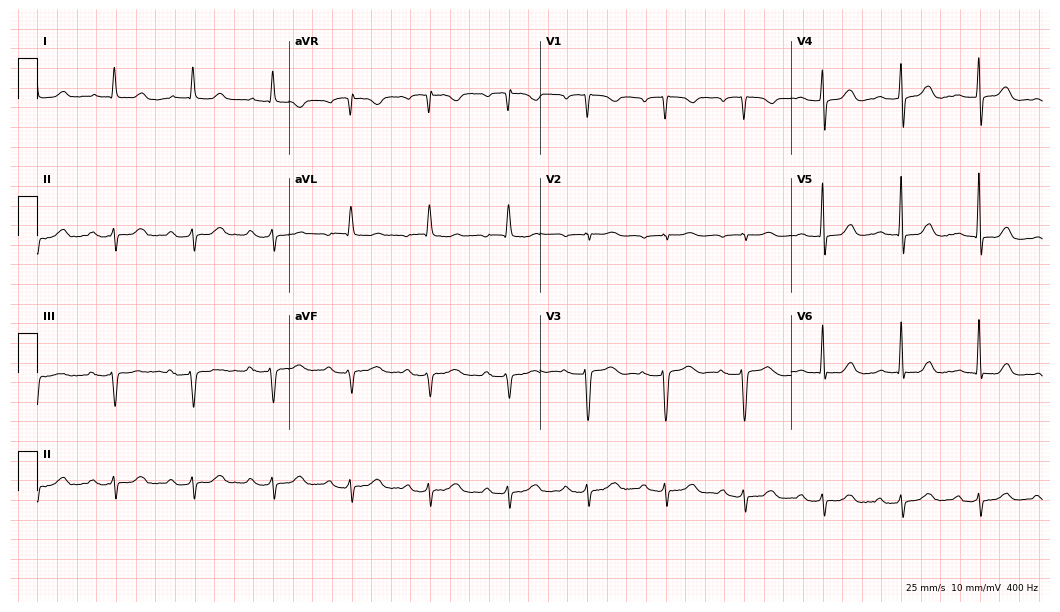
Standard 12-lead ECG recorded from an 82-year-old woman (10.2-second recording at 400 Hz). The tracing shows first-degree AV block.